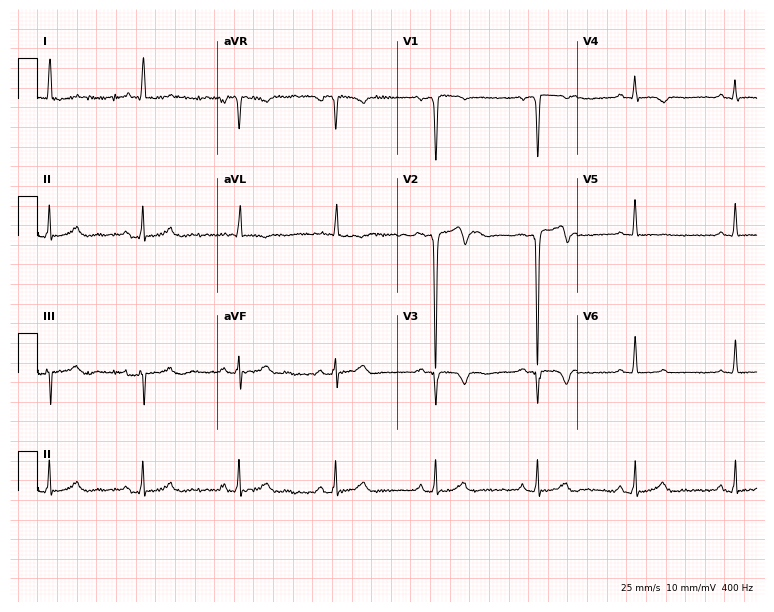
Resting 12-lead electrocardiogram. Patient: a 54-year-old man. None of these six findings is recorded: first-degree AV block, right bundle branch block (RBBB), left bundle branch block (LBBB), sinus bradycardia, atrial fibrillation (AF), sinus tachycardia.